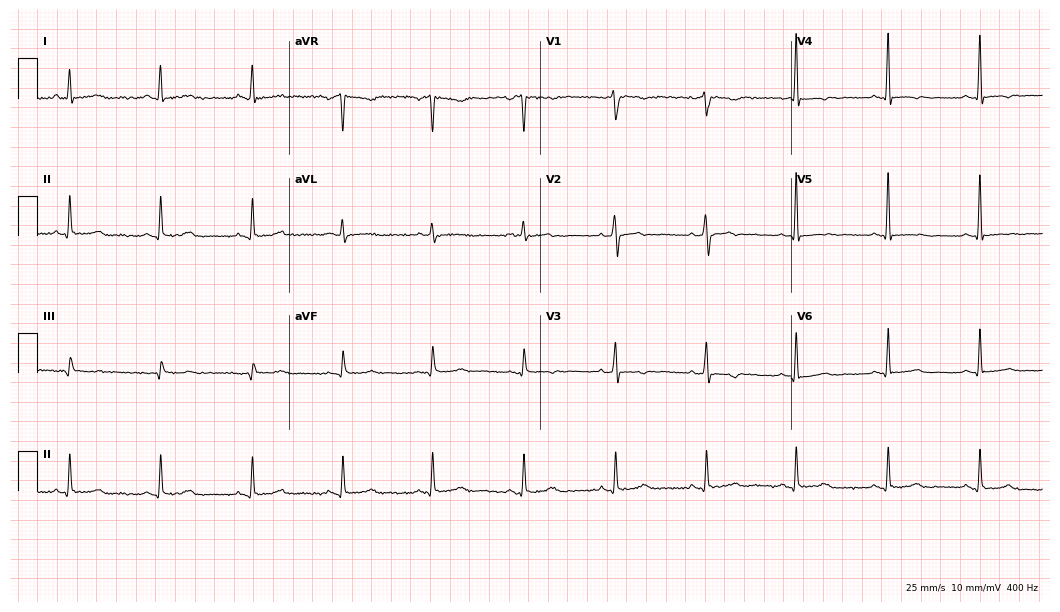
12-lead ECG from a 58-year-old woman. Screened for six findings — first-degree AV block, right bundle branch block, left bundle branch block, sinus bradycardia, atrial fibrillation, sinus tachycardia — none is recorded.